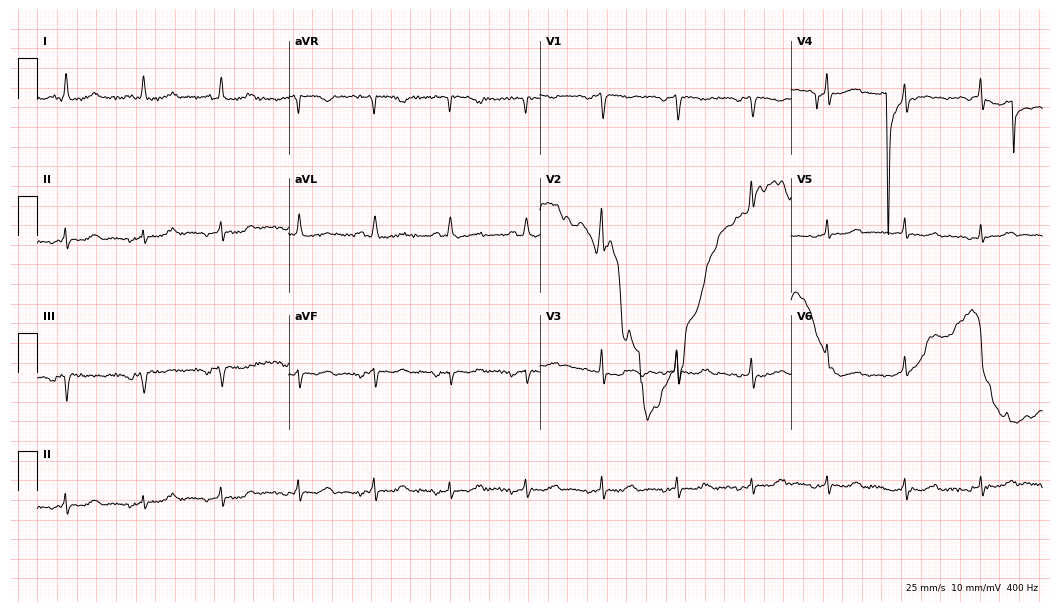
12-lead ECG from a 75-year-old woman. No first-degree AV block, right bundle branch block (RBBB), left bundle branch block (LBBB), sinus bradycardia, atrial fibrillation (AF) or sinus tachycardia recorded for this tracing. Other findings, if any, are not listed.